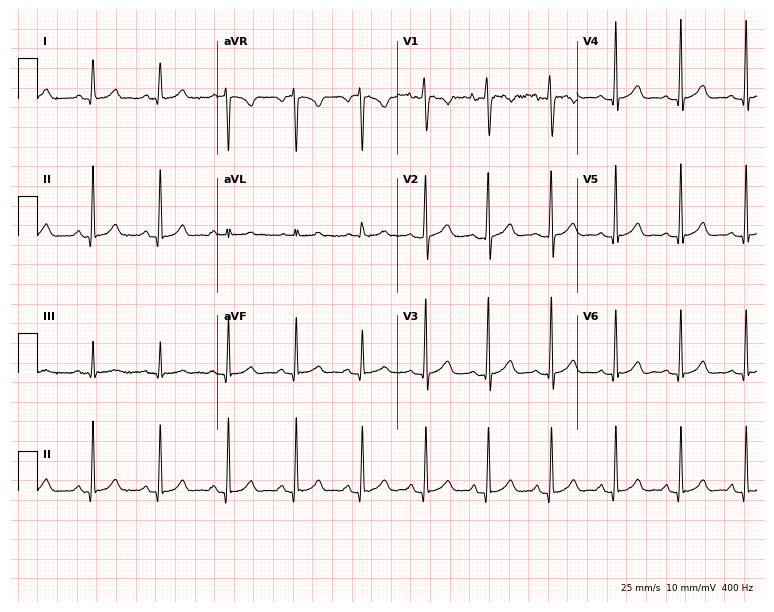
12-lead ECG from a female patient, 20 years old. Labelled as a normal ECG.